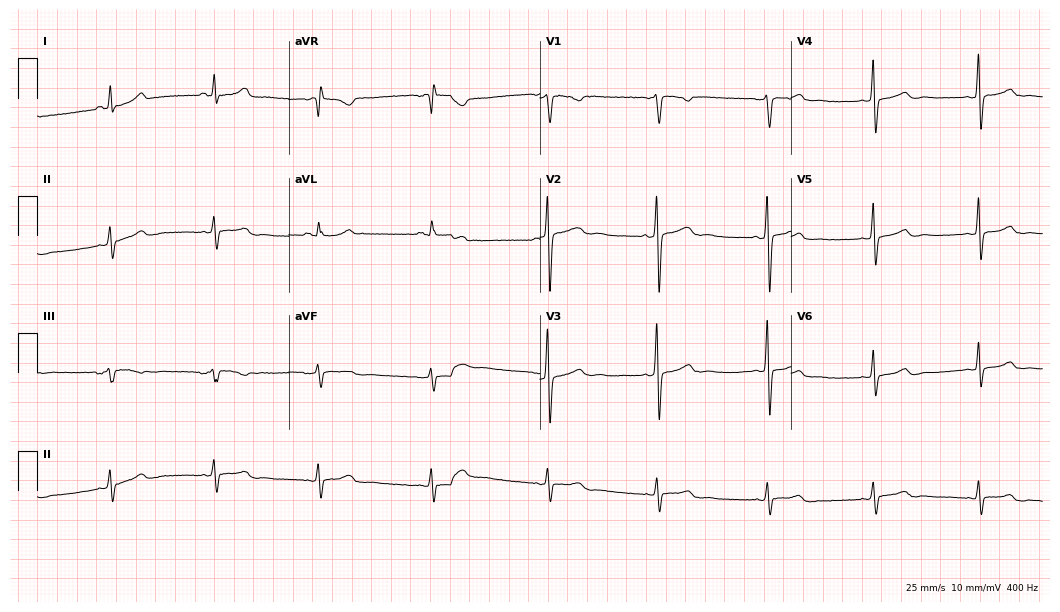
12-lead ECG from a female, 23 years old. Recorded interpretation: within normal limits.